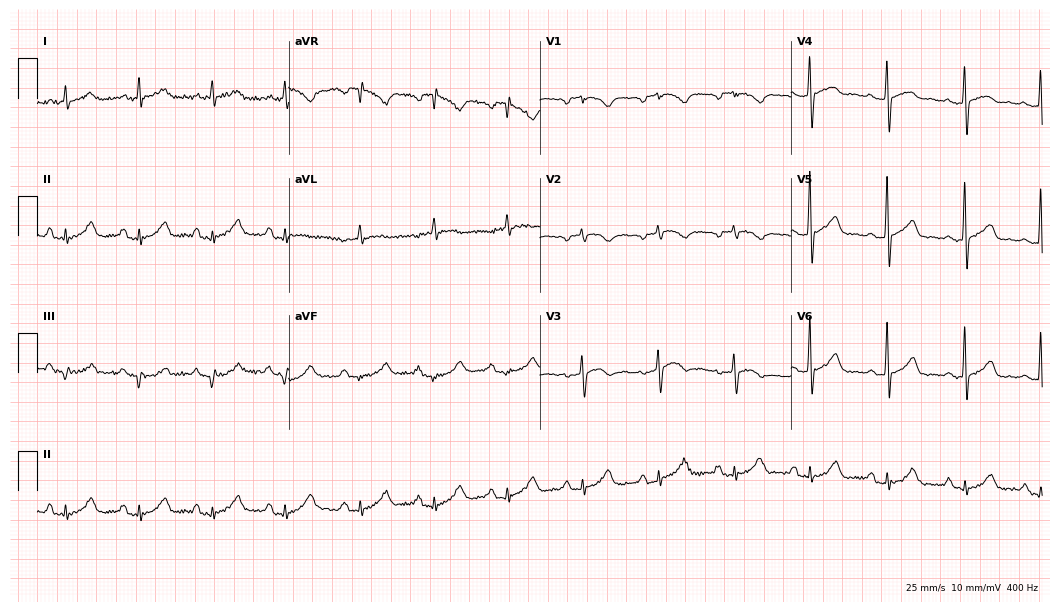
Electrocardiogram (10.2-second recording at 400 Hz), a 70-year-old female patient. Overall reading on record: normal ECG.